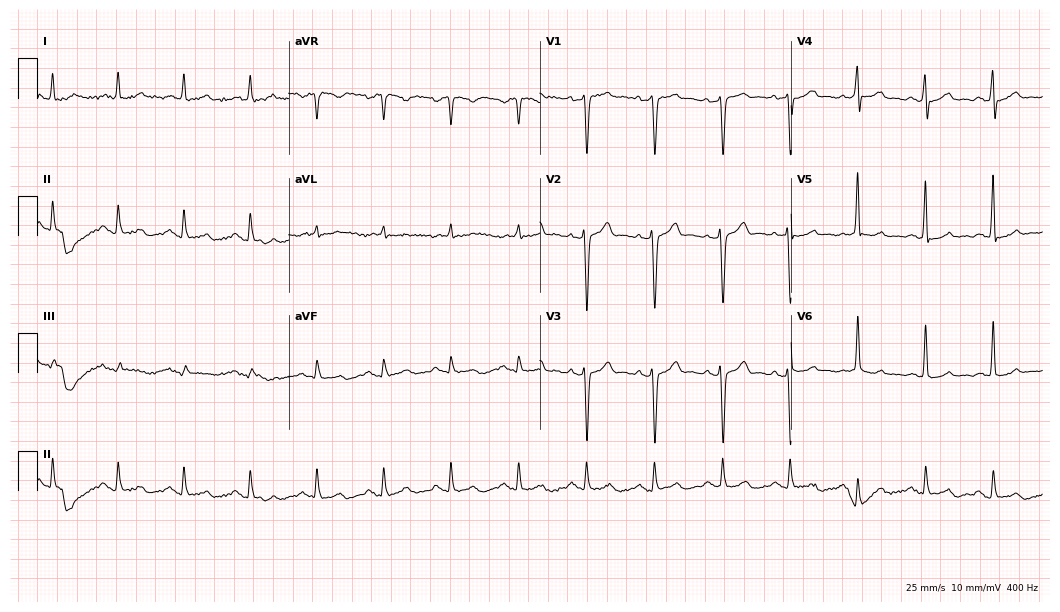
12-lead ECG from a 72-year-old man. No first-degree AV block, right bundle branch block (RBBB), left bundle branch block (LBBB), sinus bradycardia, atrial fibrillation (AF) or sinus tachycardia recorded for this tracing.